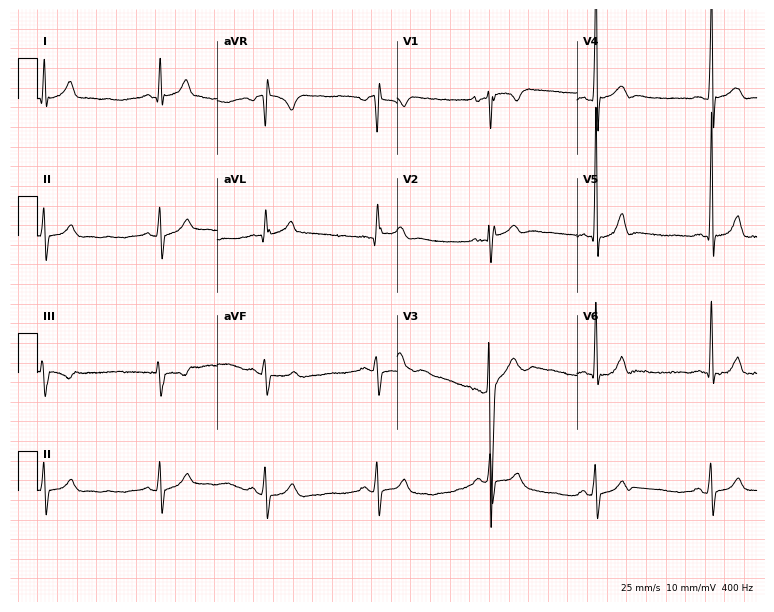
12-lead ECG from a male patient, 18 years old. Labelled as a normal ECG.